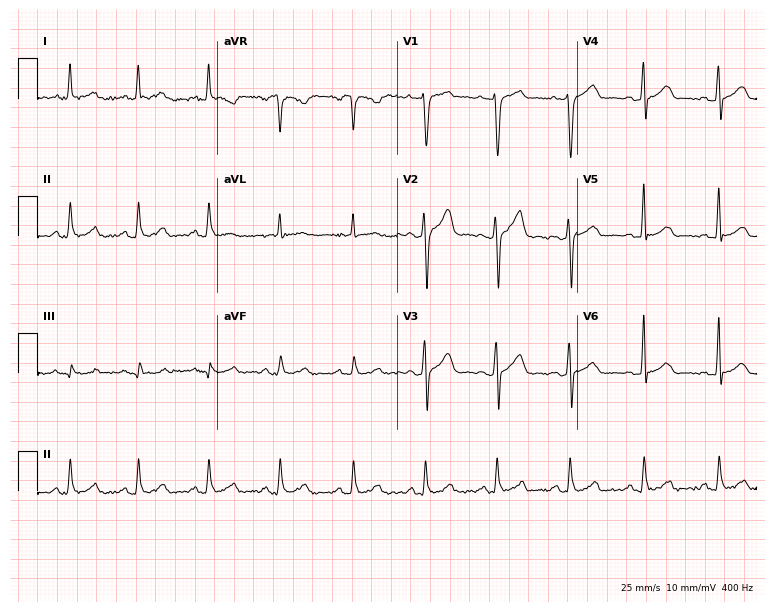
Standard 12-lead ECG recorded from a man, 36 years old (7.3-second recording at 400 Hz). None of these six findings is recorded: first-degree AV block, right bundle branch block, left bundle branch block, sinus bradycardia, atrial fibrillation, sinus tachycardia. Only these six findings were labelled.